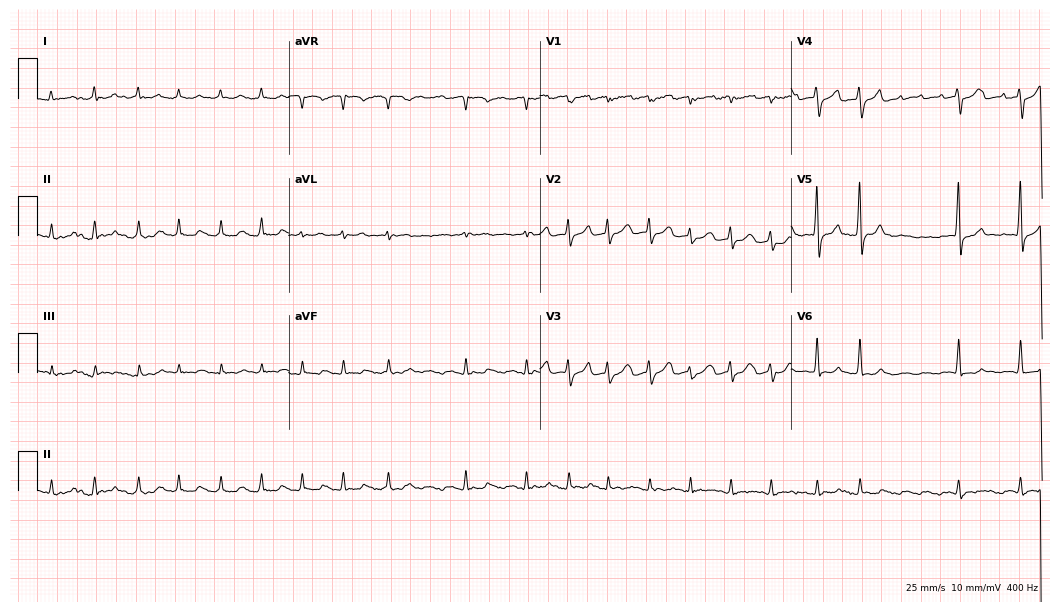
Electrocardiogram, a woman, 83 years old. Of the six screened findings (first-degree AV block, right bundle branch block, left bundle branch block, sinus bradycardia, atrial fibrillation, sinus tachycardia), none is recorded. Findings outside these six are not listed.